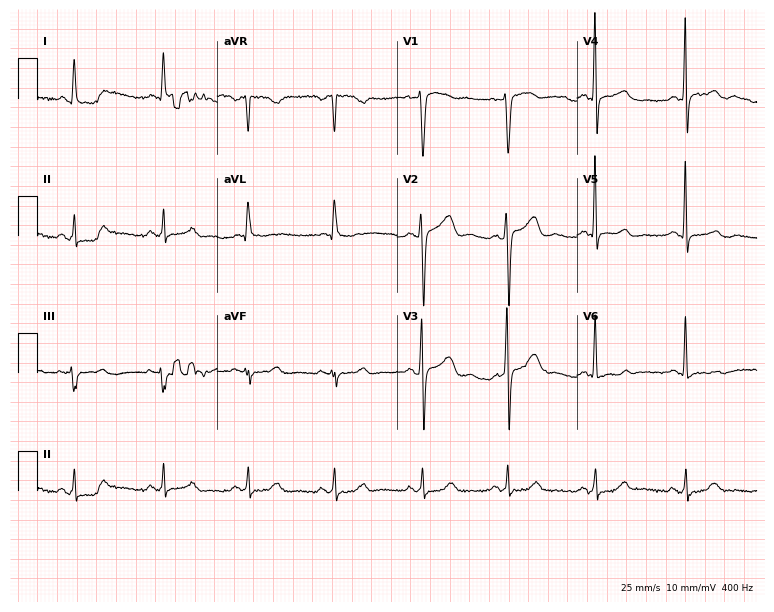
12-lead ECG from a 54-year-old female patient. Screened for six findings — first-degree AV block, right bundle branch block (RBBB), left bundle branch block (LBBB), sinus bradycardia, atrial fibrillation (AF), sinus tachycardia — none is recorded. Other findings, if any, are not listed.